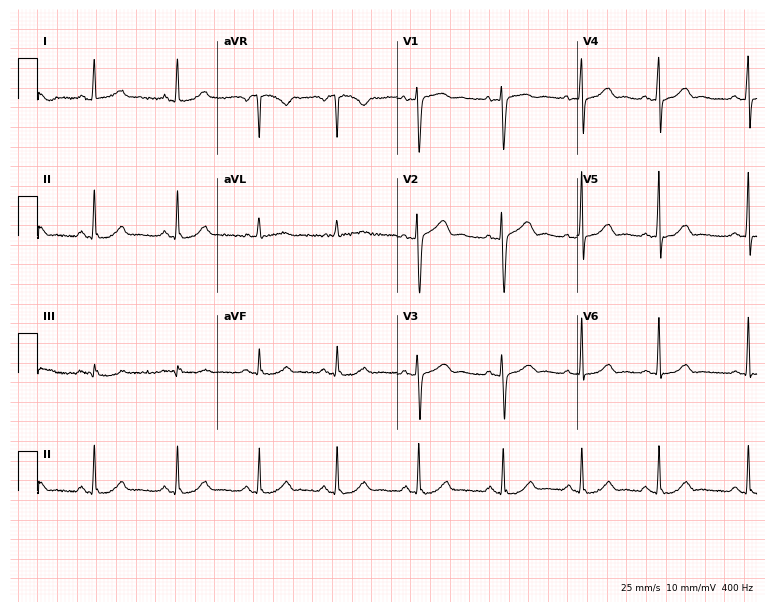
Standard 12-lead ECG recorded from a woman, 27 years old (7.3-second recording at 400 Hz). None of these six findings is recorded: first-degree AV block, right bundle branch block (RBBB), left bundle branch block (LBBB), sinus bradycardia, atrial fibrillation (AF), sinus tachycardia.